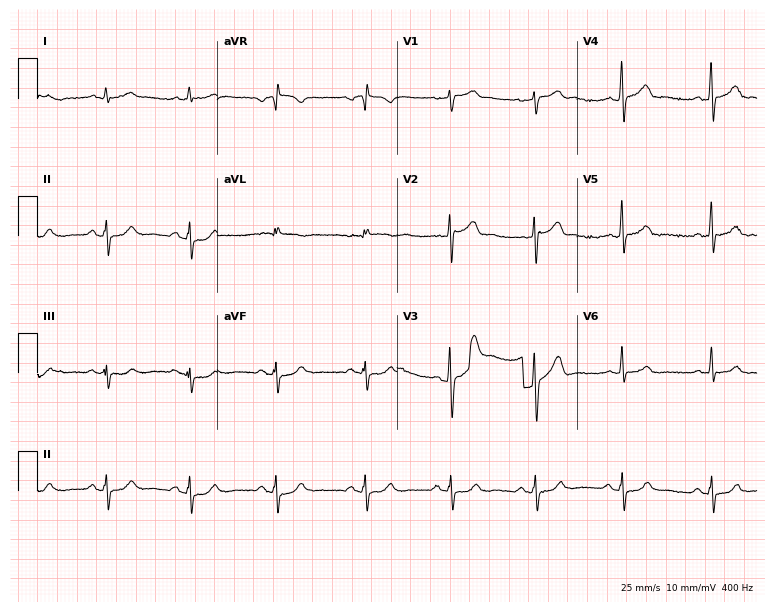
Electrocardiogram (7.3-second recording at 400 Hz), a male patient, 43 years old. Of the six screened findings (first-degree AV block, right bundle branch block, left bundle branch block, sinus bradycardia, atrial fibrillation, sinus tachycardia), none is recorded. Only these six findings were labelled.